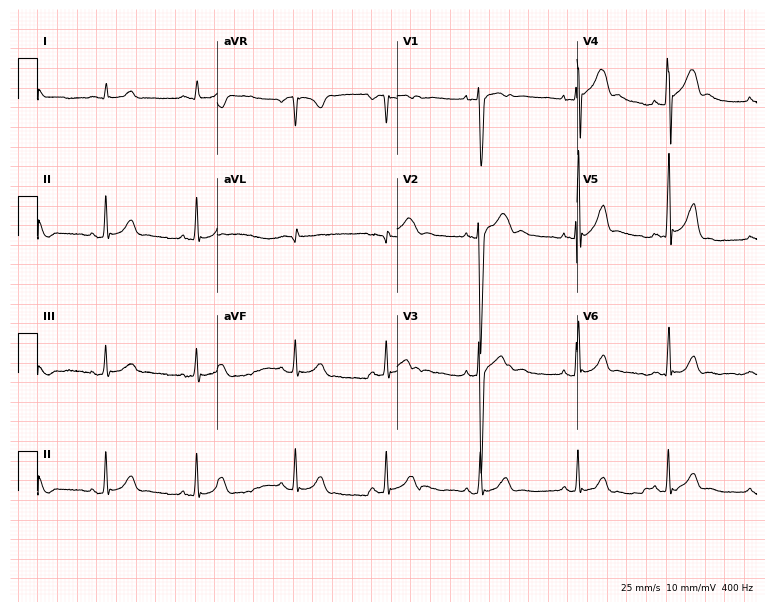
12-lead ECG from an 18-year-old male patient. No first-degree AV block, right bundle branch block, left bundle branch block, sinus bradycardia, atrial fibrillation or sinus tachycardia recorded for this tracing. Only these six findings were labelled.